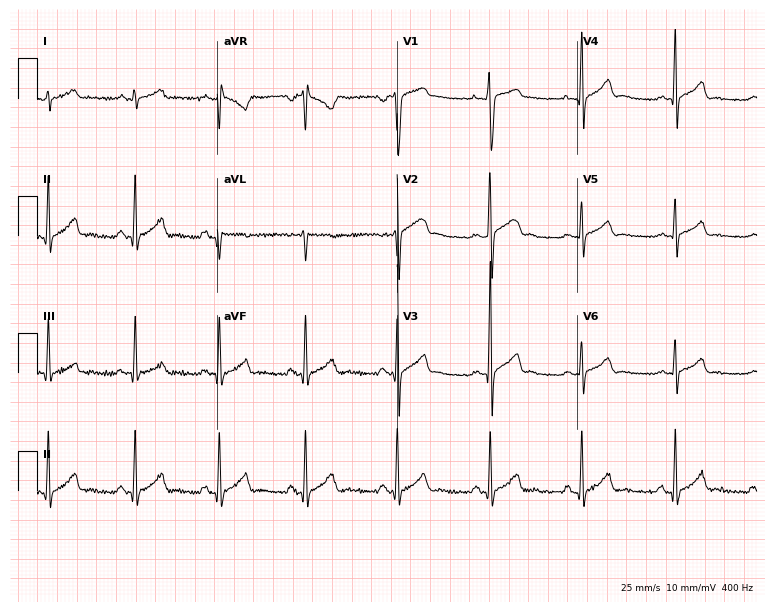
12-lead ECG from a 19-year-old man (7.3-second recording at 400 Hz). No first-degree AV block, right bundle branch block, left bundle branch block, sinus bradycardia, atrial fibrillation or sinus tachycardia recorded for this tracing. Other findings, if any, are not listed.